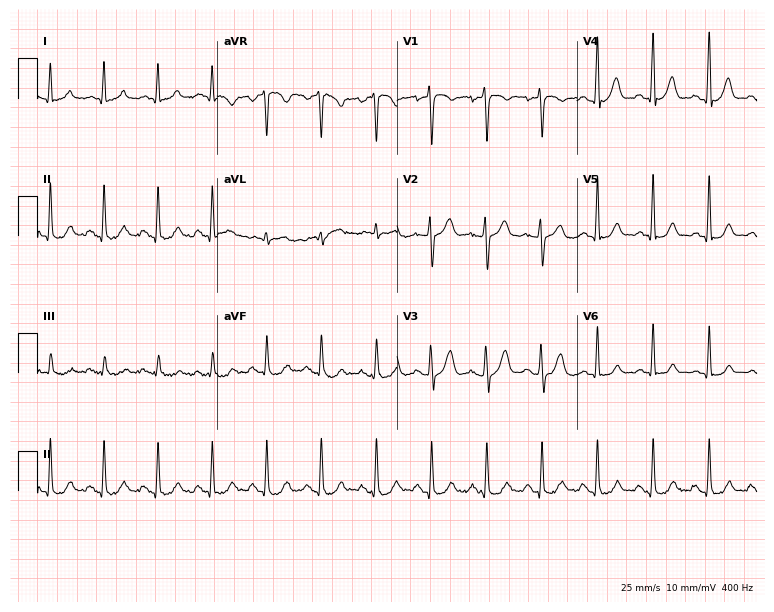
12-lead ECG from a man, 55 years old. Findings include sinus tachycardia (a sinus rate of 100 beats per minute or more).